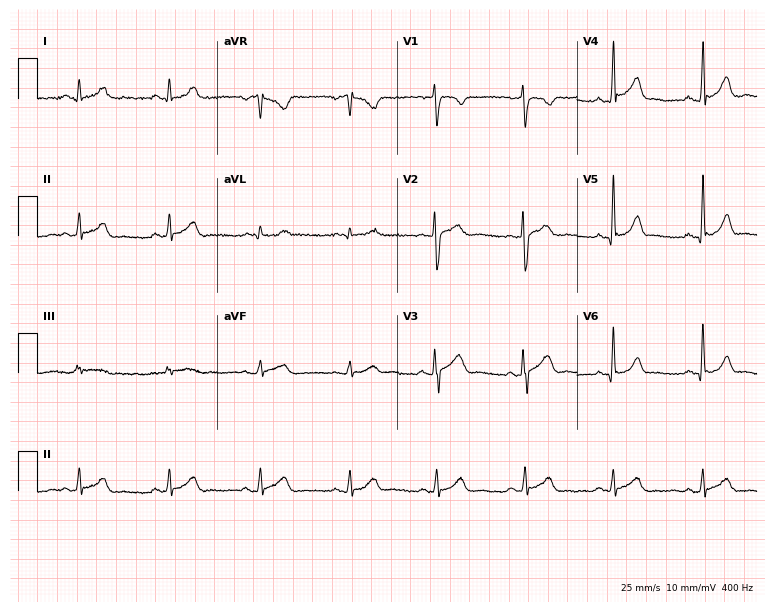
12-lead ECG from a 37-year-old male. Recorded interpretation: within normal limits.